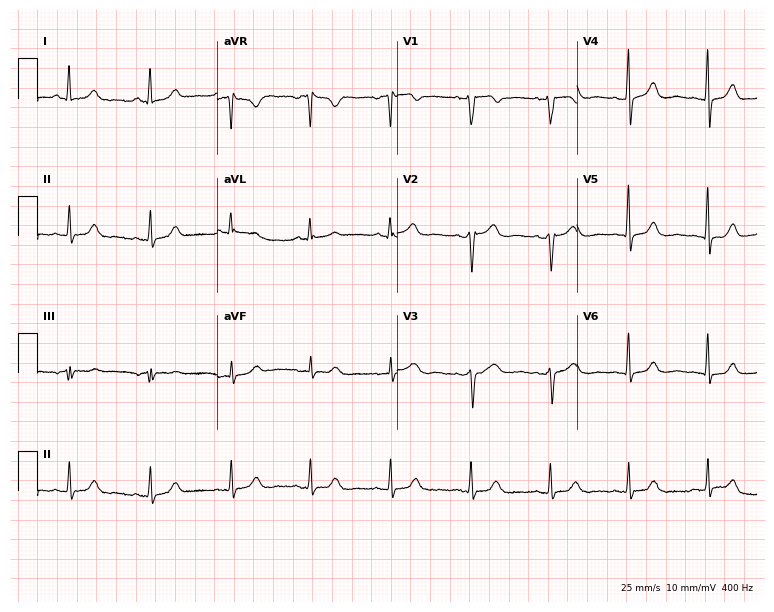
12-lead ECG from a female patient, 56 years old (7.3-second recording at 400 Hz). Recorded interpretation: within normal limits.